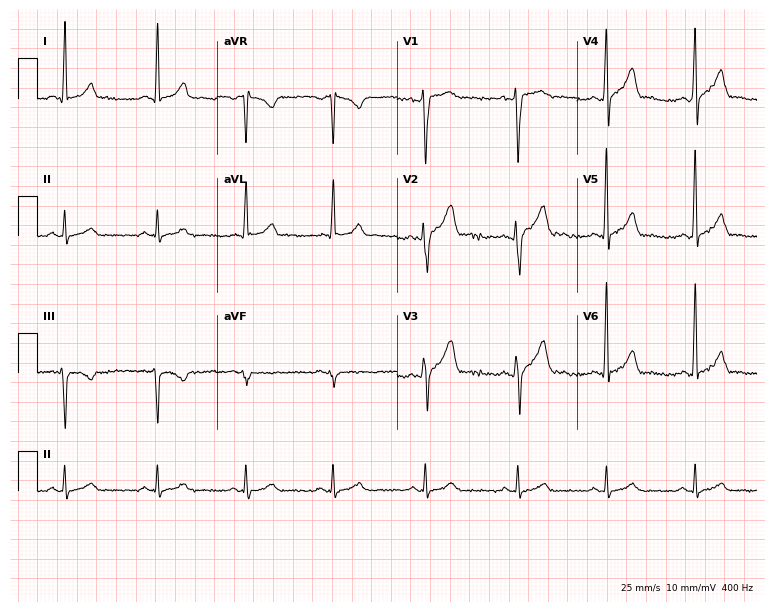
Standard 12-lead ECG recorded from a male, 17 years old (7.3-second recording at 400 Hz). None of these six findings is recorded: first-degree AV block, right bundle branch block (RBBB), left bundle branch block (LBBB), sinus bradycardia, atrial fibrillation (AF), sinus tachycardia.